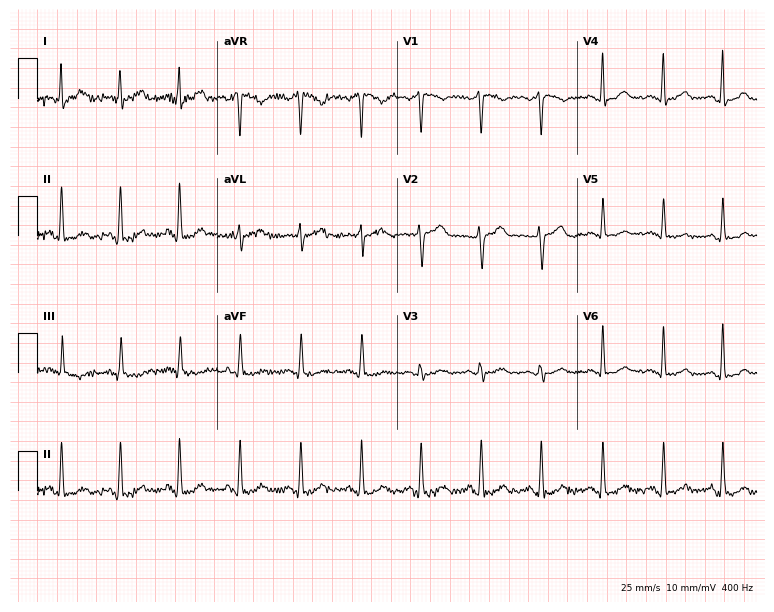
ECG — a 45-year-old woman. Screened for six findings — first-degree AV block, right bundle branch block, left bundle branch block, sinus bradycardia, atrial fibrillation, sinus tachycardia — none is recorded. Other findings, if any, are not listed.